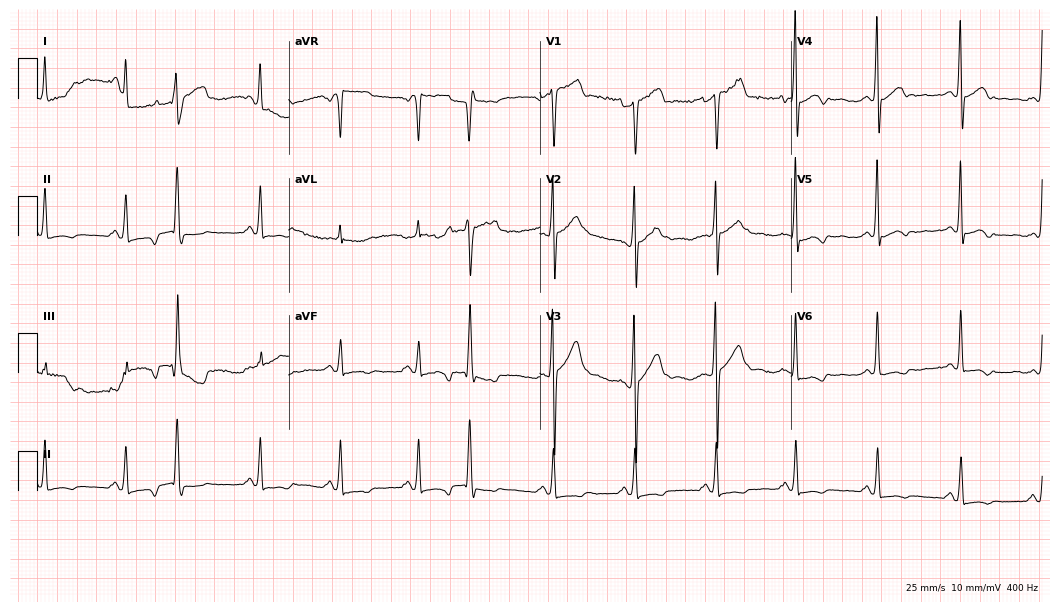
12-lead ECG from a male patient, 44 years old. Screened for six findings — first-degree AV block, right bundle branch block, left bundle branch block, sinus bradycardia, atrial fibrillation, sinus tachycardia — none is recorded.